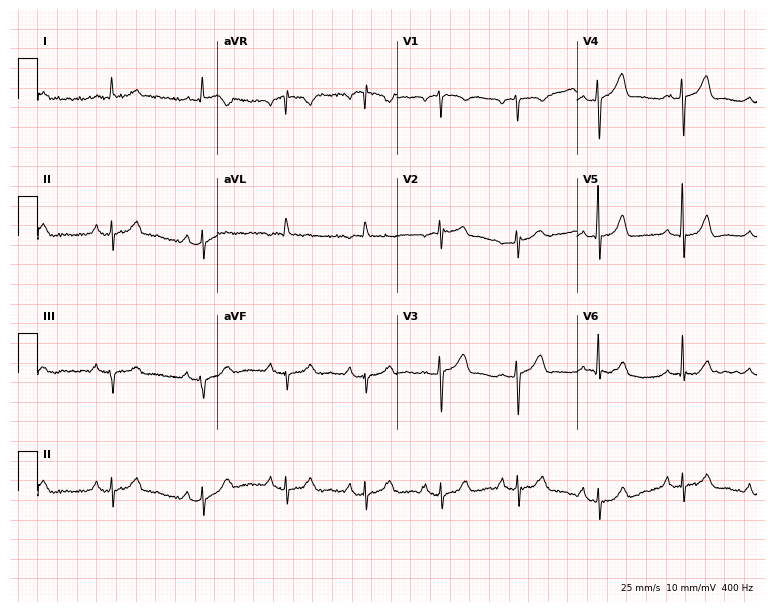
12-lead ECG from a female, 53 years old. Recorded interpretation: within normal limits.